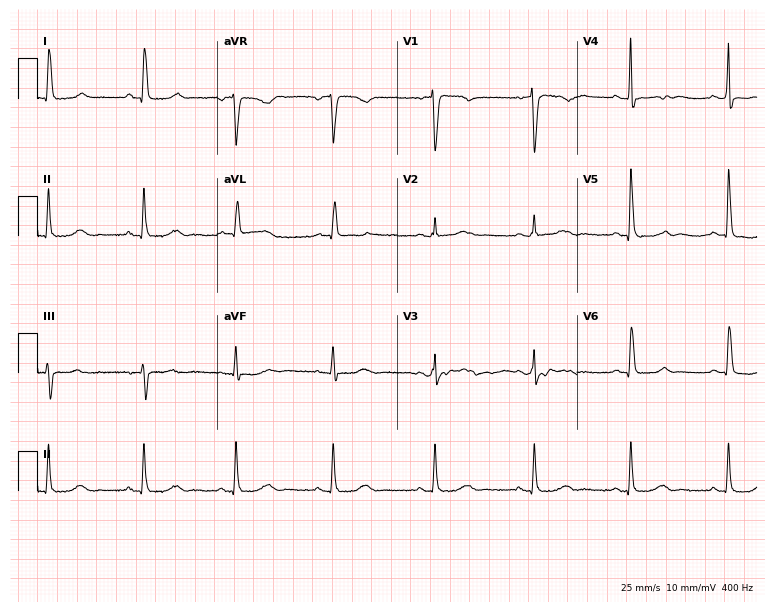
12-lead ECG (7.3-second recording at 400 Hz) from an 83-year-old female patient. Screened for six findings — first-degree AV block, right bundle branch block (RBBB), left bundle branch block (LBBB), sinus bradycardia, atrial fibrillation (AF), sinus tachycardia — none is recorded. Other findings, if any, are not listed.